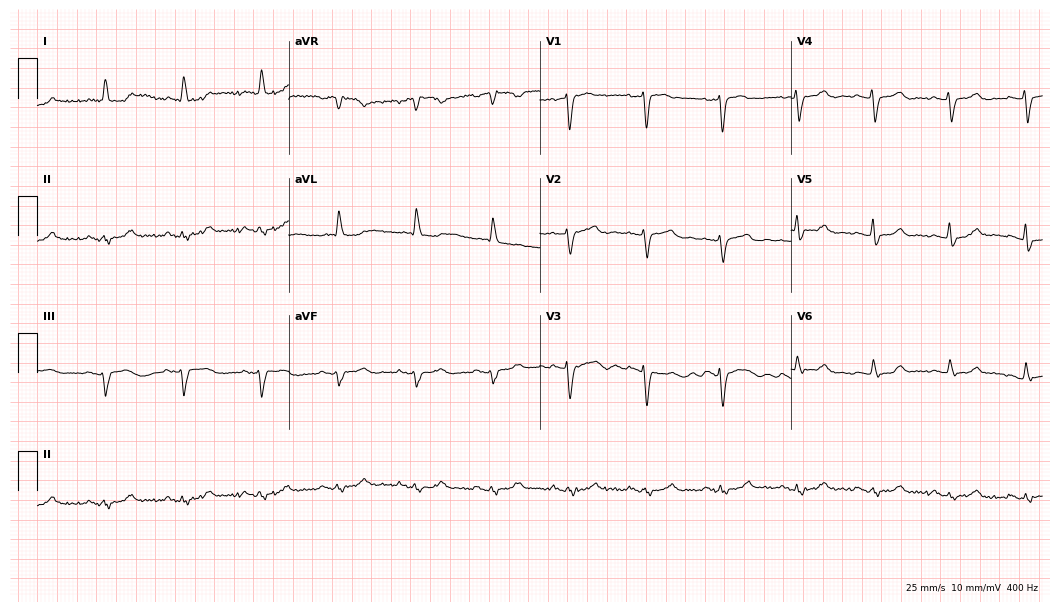
12-lead ECG from a 79-year-old female. Recorded interpretation: within normal limits.